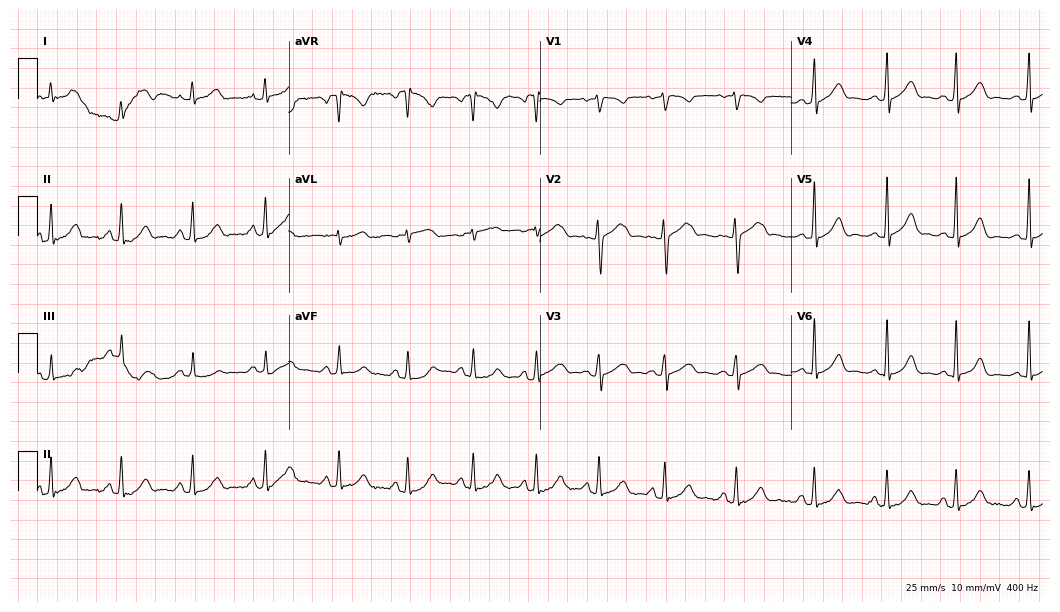
Standard 12-lead ECG recorded from a woman, 25 years old. Read as a normal ECG.